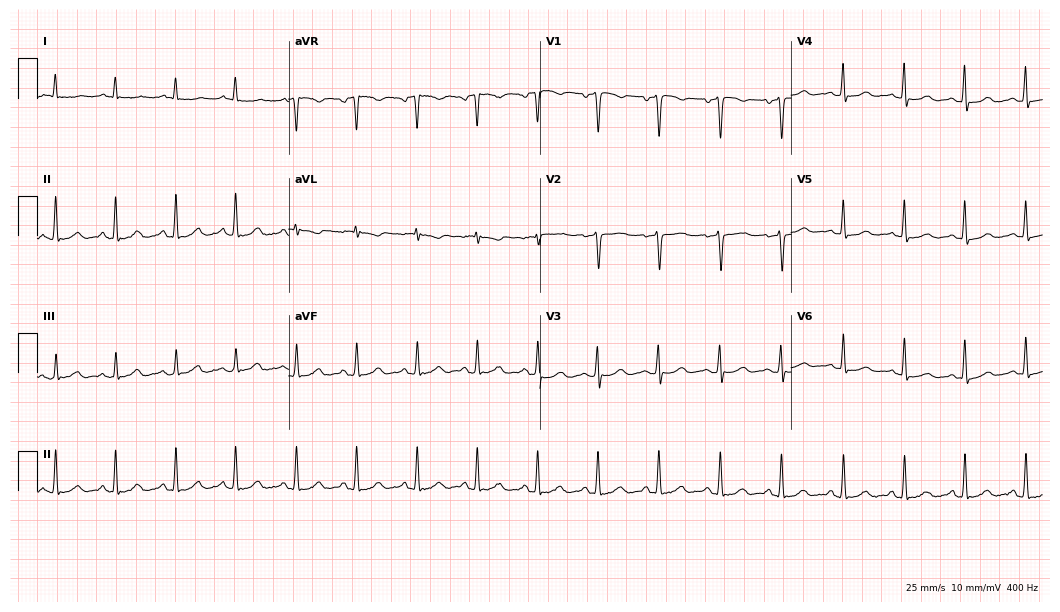
12-lead ECG from a female, 52 years old (10.2-second recording at 400 Hz). Recorded interpretation: within normal limits.